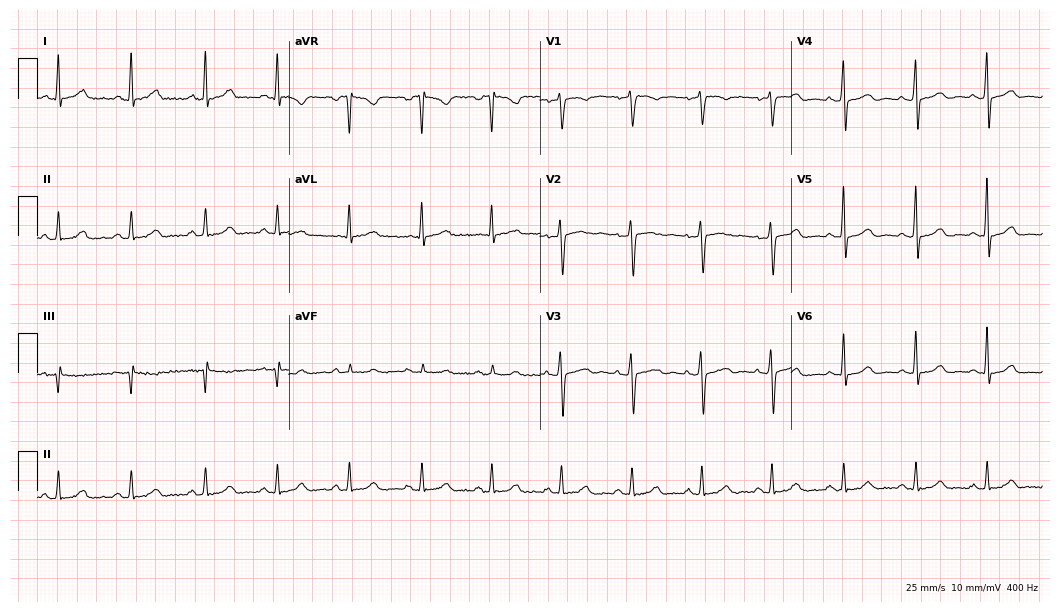
Resting 12-lead electrocardiogram. Patient: a female, 51 years old. None of these six findings is recorded: first-degree AV block, right bundle branch block, left bundle branch block, sinus bradycardia, atrial fibrillation, sinus tachycardia.